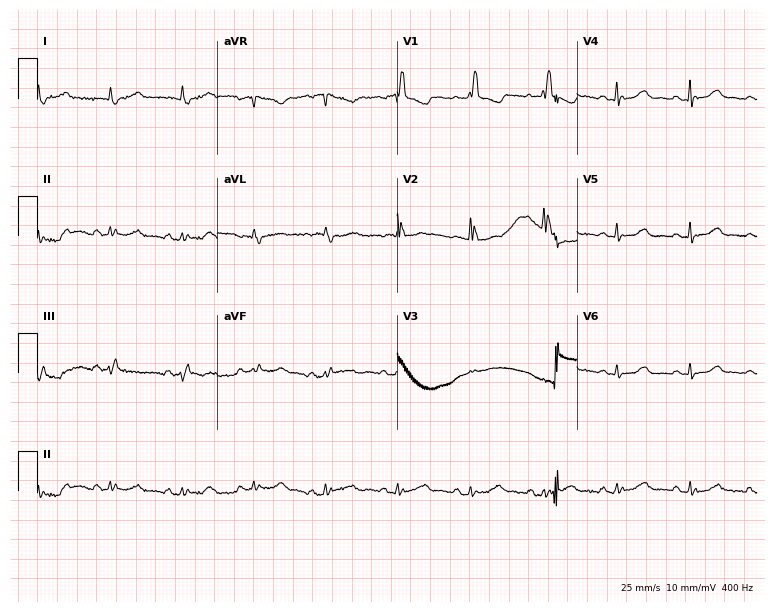
12-lead ECG from an 80-year-old female patient (7.3-second recording at 400 Hz). Shows right bundle branch block (RBBB), atrial fibrillation (AF).